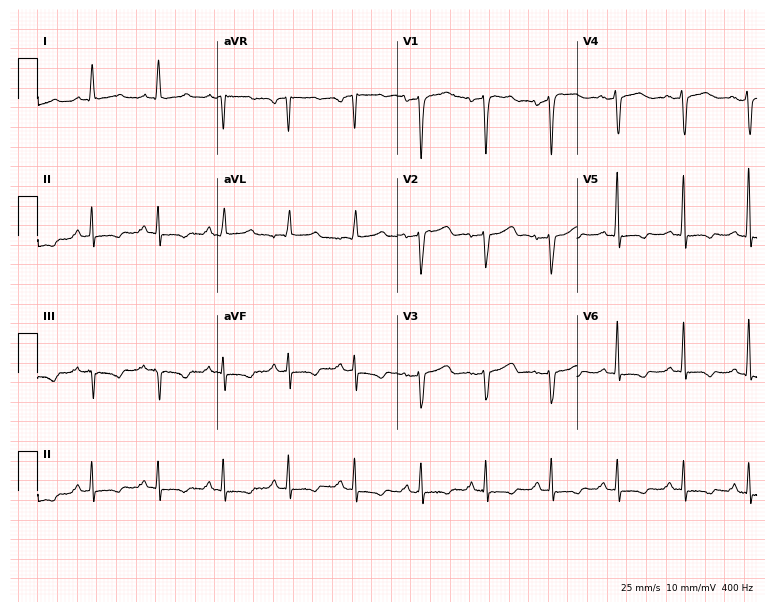
12-lead ECG from a female patient, 70 years old. Screened for six findings — first-degree AV block, right bundle branch block, left bundle branch block, sinus bradycardia, atrial fibrillation, sinus tachycardia — none is recorded.